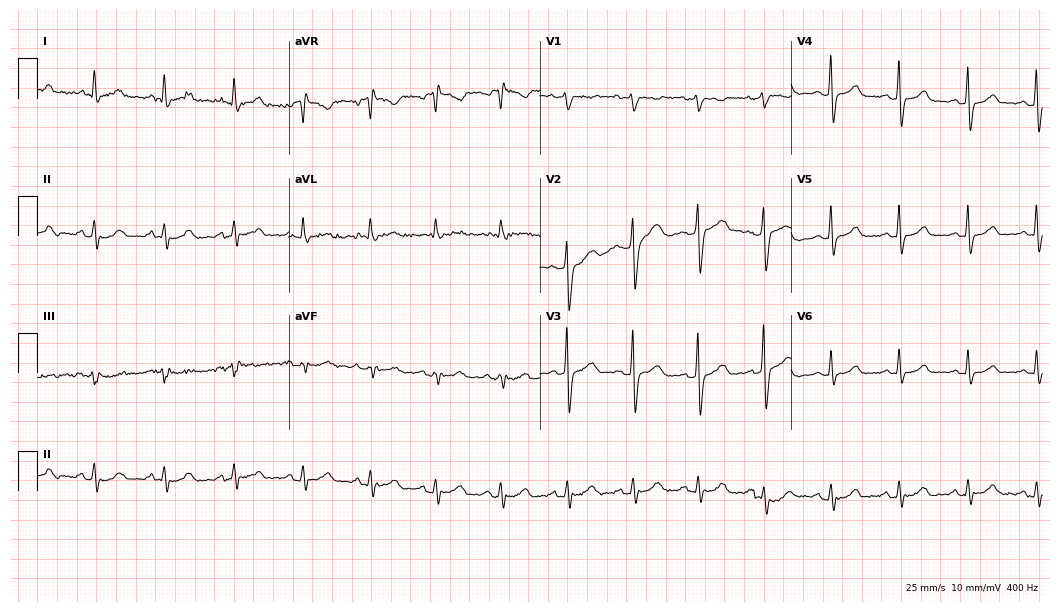
ECG — a 47-year-old female patient. Screened for six findings — first-degree AV block, right bundle branch block (RBBB), left bundle branch block (LBBB), sinus bradycardia, atrial fibrillation (AF), sinus tachycardia — none is recorded. Findings outside these six are not listed.